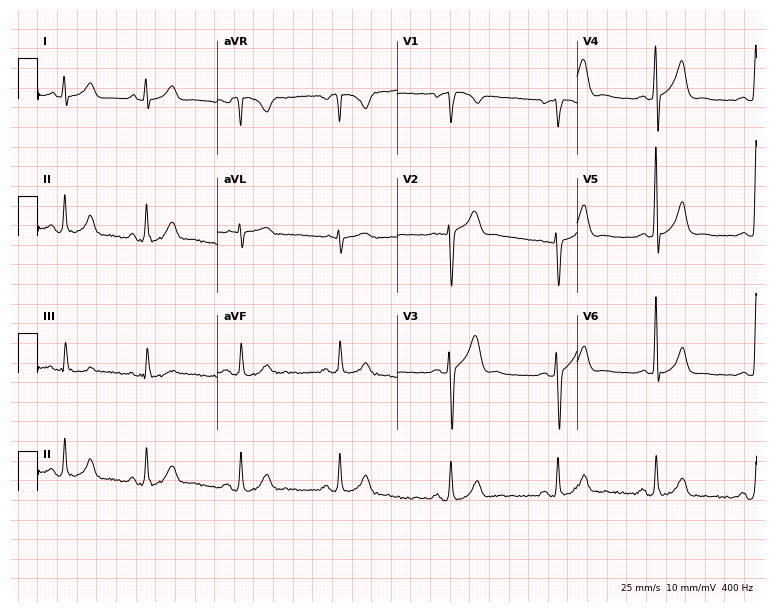
ECG — a 22-year-old male. Screened for six findings — first-degree AV block, right bundle branch block, left bundle branch block, sinus bradycardia, atrial fibrillation, sinus tachycardia — none is recorded.